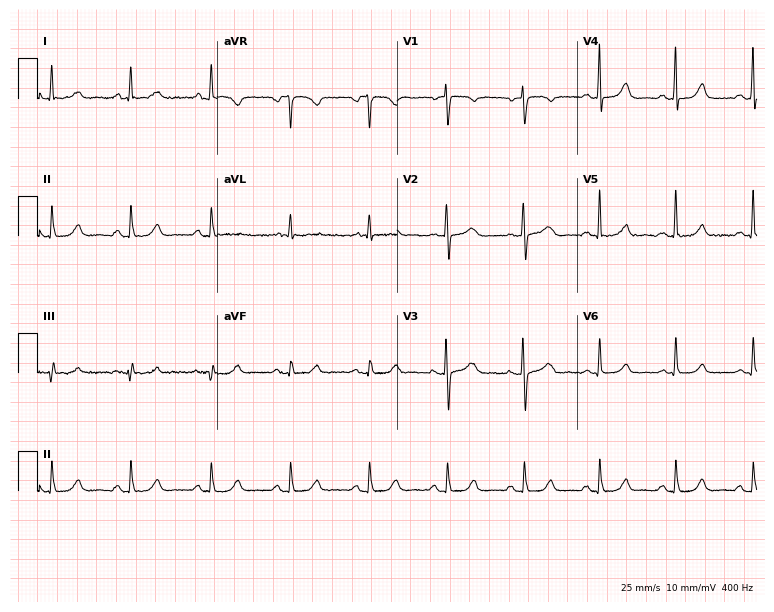
12-lead ECG from a female, 72 years old. Labelled as a normal ECG.